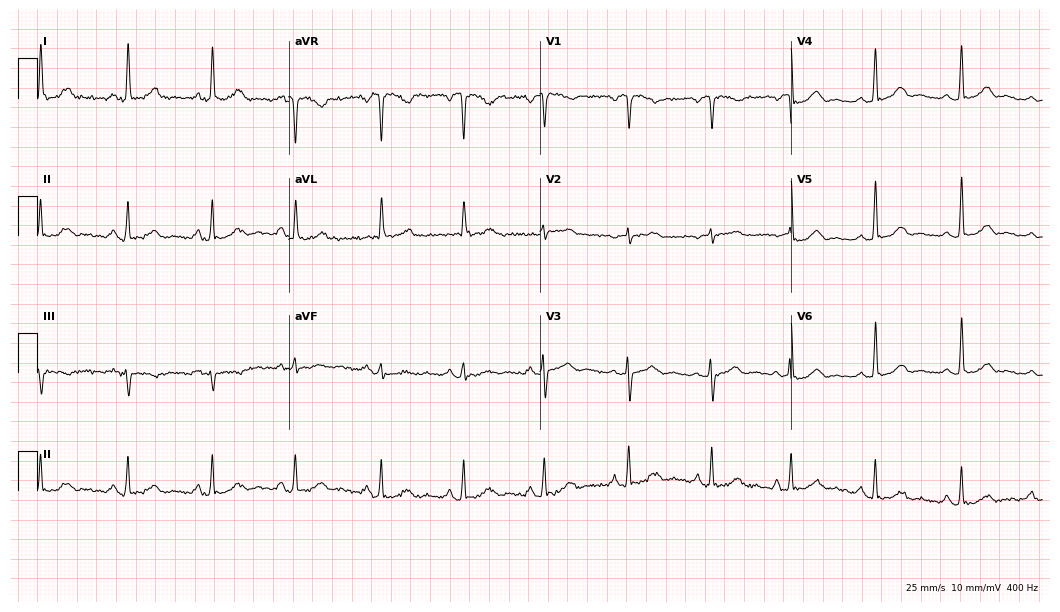
ECG (10.2-second recording at 400 Hz) — a female, 63 years old. Labelled as a normal ECG.